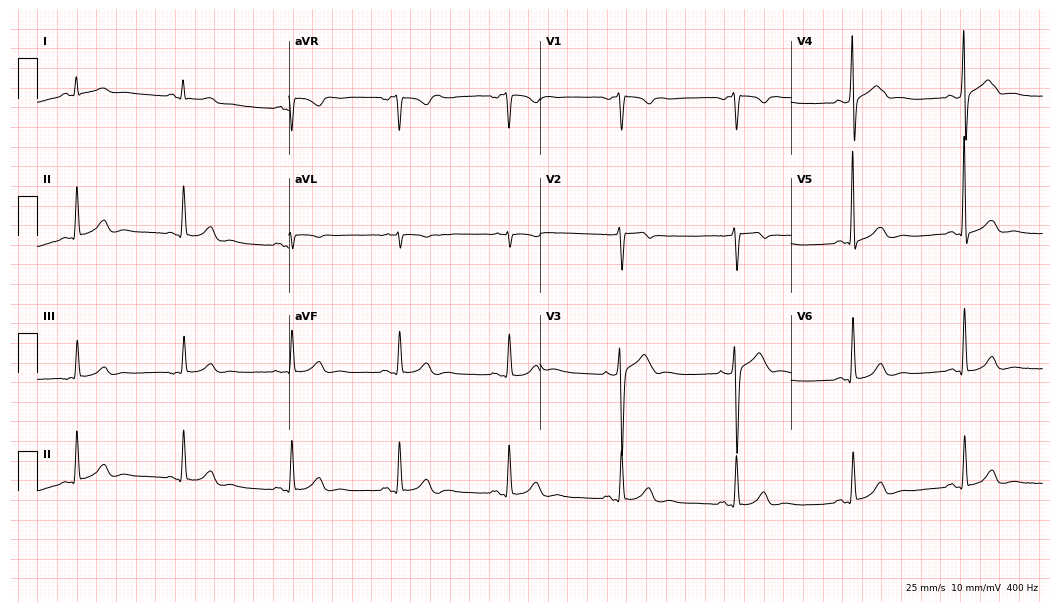
12-lead ECG from a 53-year-old male (10.2-second recording at 400 Hz). Recorded interpretation: within normal limits.